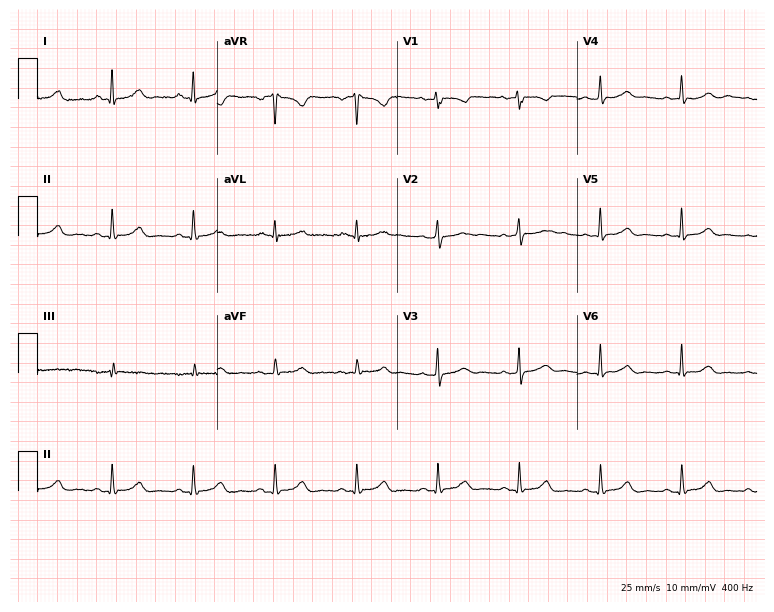
Electrocardiogram, a 37-year-old female patient. Overall reading on record: normal ECG.